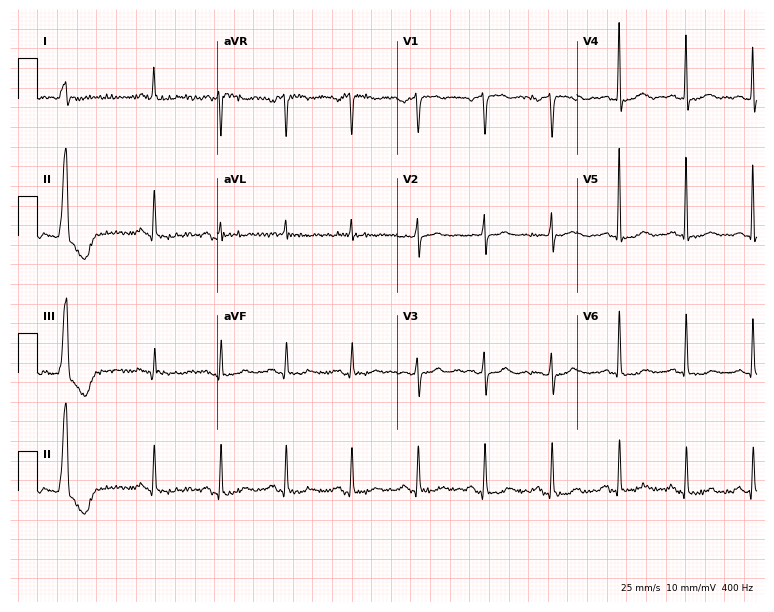
Standard 12-lead ECG recorded from an 83-year-old female patient (7.3-second recording at 400 Hz). None of these six findings is recorded: first-degree AV block, right bundle branch block, left bundle branch block, sinus bradycardia, atrial fibrillation, sinus tachycardia. Findings outside these six are not listed.